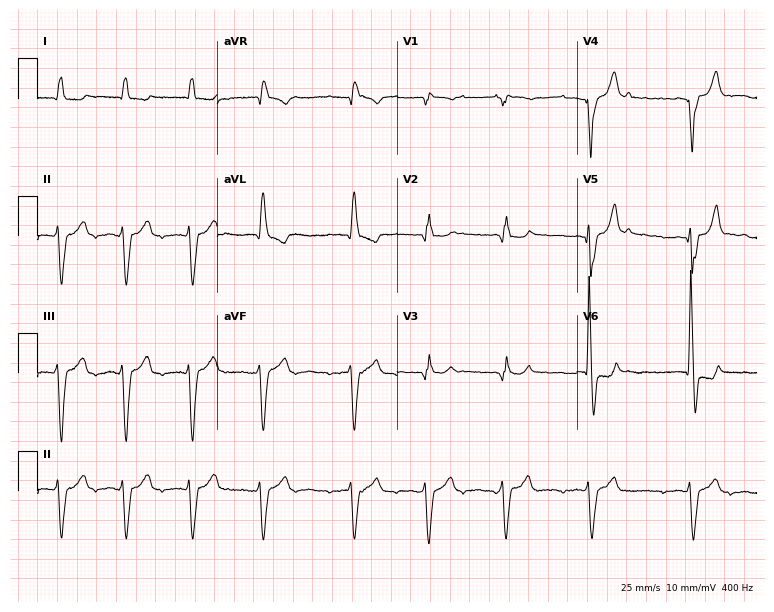
12-lead ECG (7.3-second recording at 400 Hz) from a 67-year-old man. Findings include right bundle branch block, atrial fibrillation.